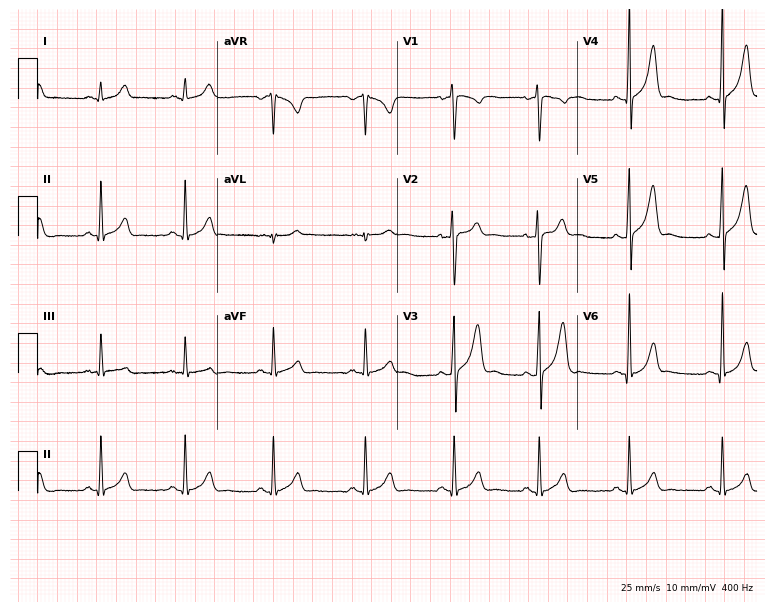
12-lead ECG (7.3-second recording at 400 Hz) from a male patient, 22 years old. Screened for six findings — first-degree AV block, right bundle branch block, left bundle branch block, sinus bradycardia, atrial fibrillation, sinus tachycardia — none is recorded.